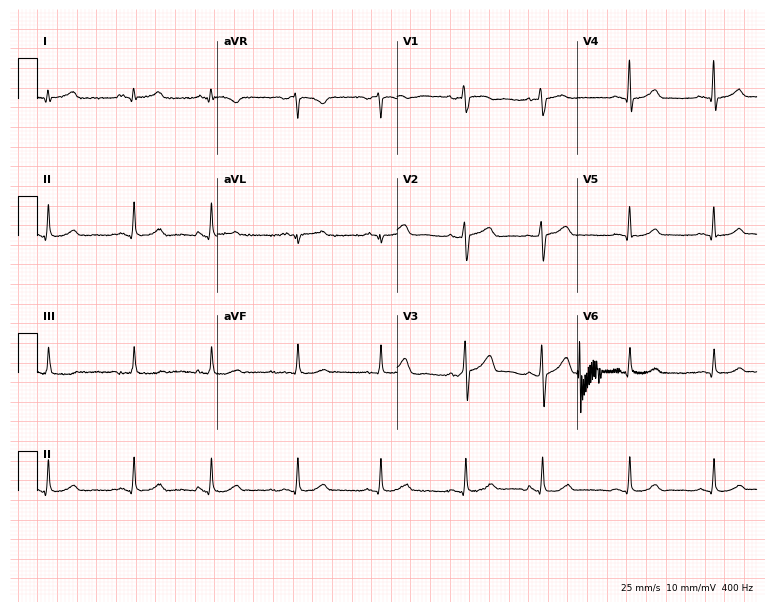
Standard 12-lead ECG recorded from a female, 50 years old (7.3-second recording at 400 Hz). Read as a normal ECG.